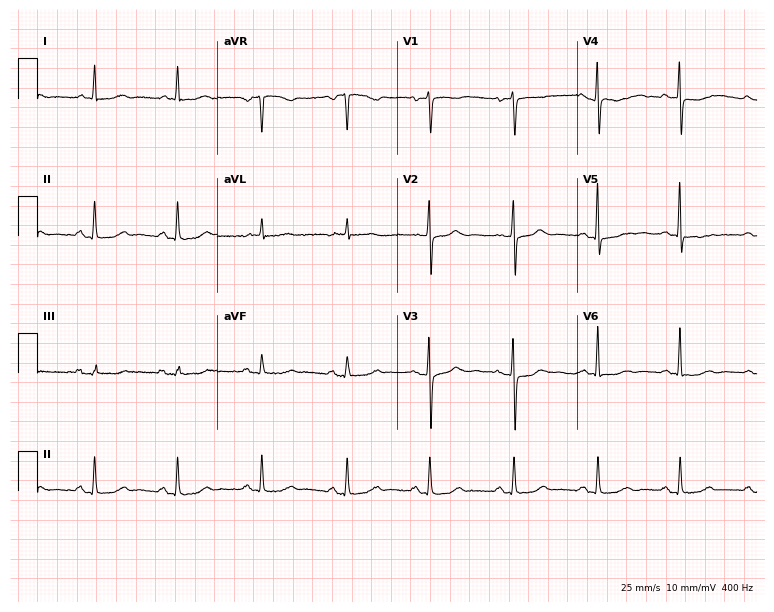
12-lead ECG from a female patient, 69 years old. Screened for six findings — first-degree AV block, right bundle branch block, left bundle branch block, sinus bradycardia, atrial fibrillation, sinus tachycardia — none is recorded. Findings outside these six are not listed.